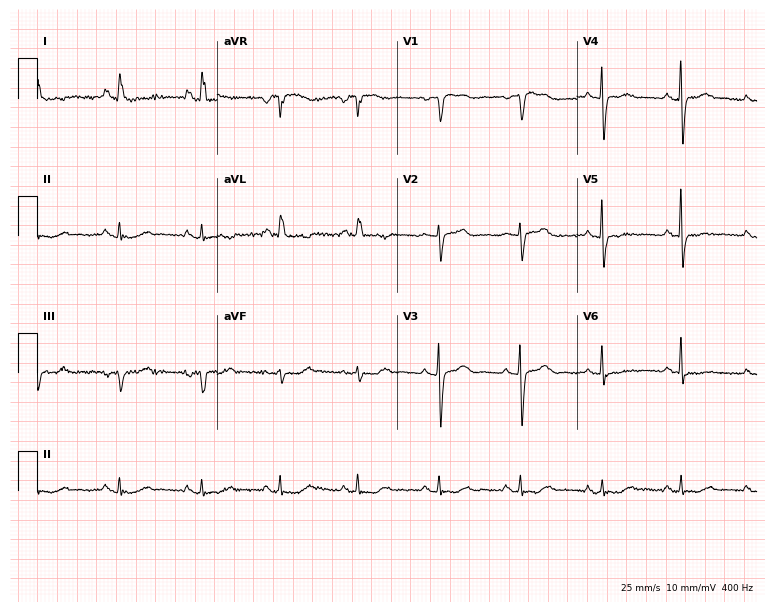
12-lead ECG (7.3-second recording at 400 Hz) from a woman, 73 years old. Screened for six findings — first-degree AV block, right bundle branch block (RBBB), left bundle branch block (LBBB), sinus bradycardia, atrial fibrillation (AF), sinus tachycardia — none is recorded. Findings outside these six are not listed.